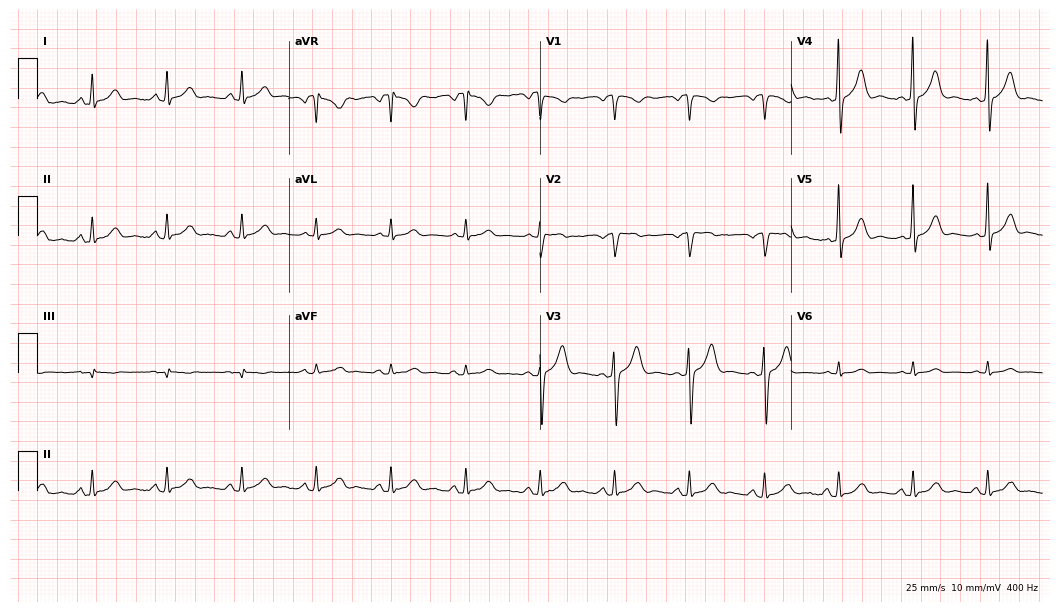
Standard 12-lead ECG recorded from a male patient, 75 years old. None of these six findings is recorded: first-degree AV block, right bundle branch block, left bundle branch block, sinus bradycardia, atrial fibrillation, sinus tachycardia.